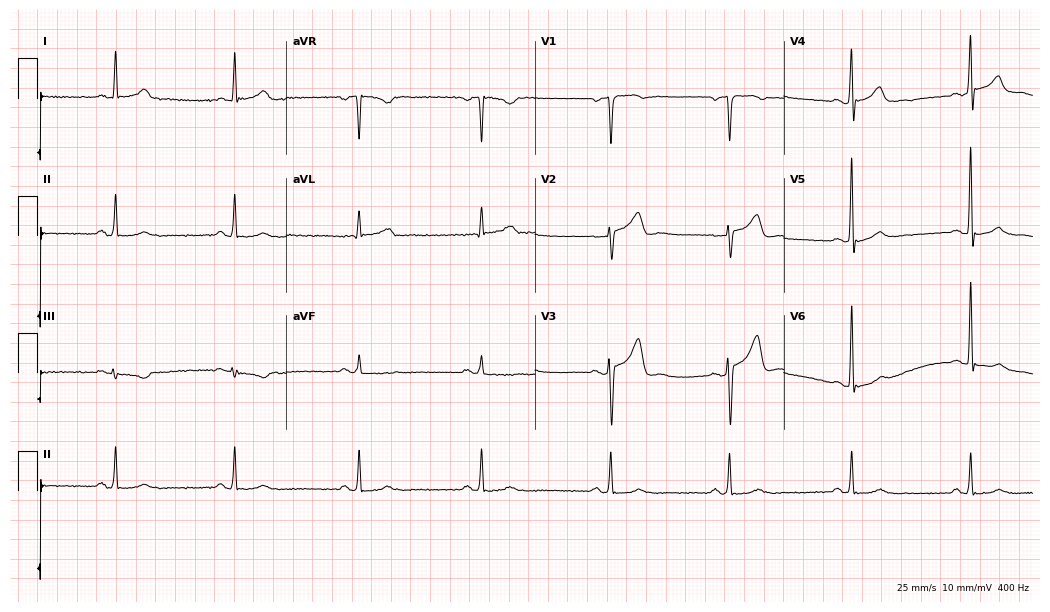
Standard 12-lead ECG recorded from a 45-year-old male patient. Read as a normal ECG.